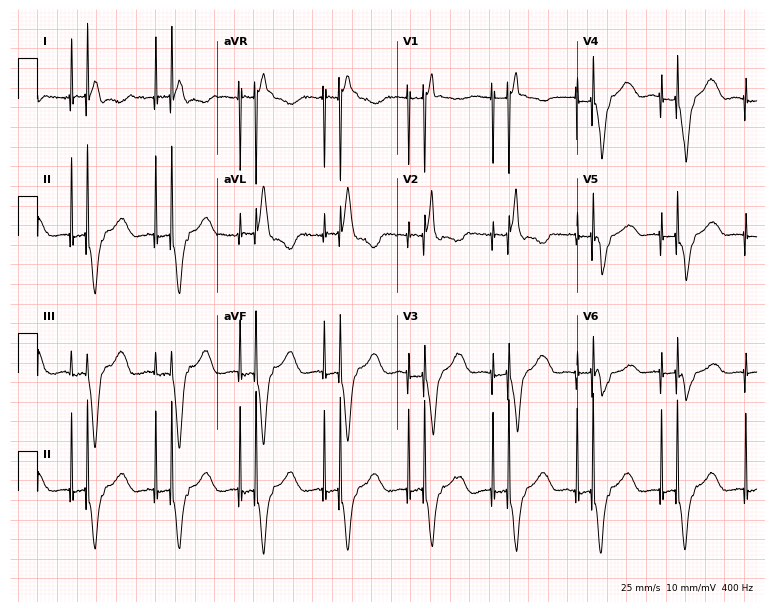
Electrocardiogram, a 51-year-old female patient. Of the six screened findings (first-degree AV block, right bundle branch block (RBBB), left bundle branch block (LBBB), sinus bradycardia, atrial fibrillation (AF), sinus tachycardia), none is recorded.